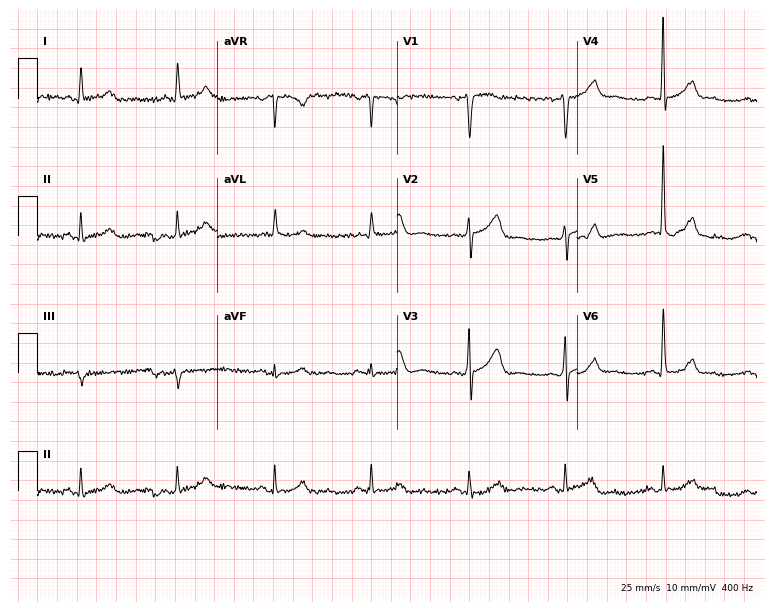
12-lead ECG (7.3-second recording at 400 Hz) from a 78-year-old man. Screened for six findings — first-degree AV block, right bundle branch block, left bundle branch block, sinus bradycardia, atrial fibrillation, sinus tachycardia — none is recorded. Only these six findings were labelled.